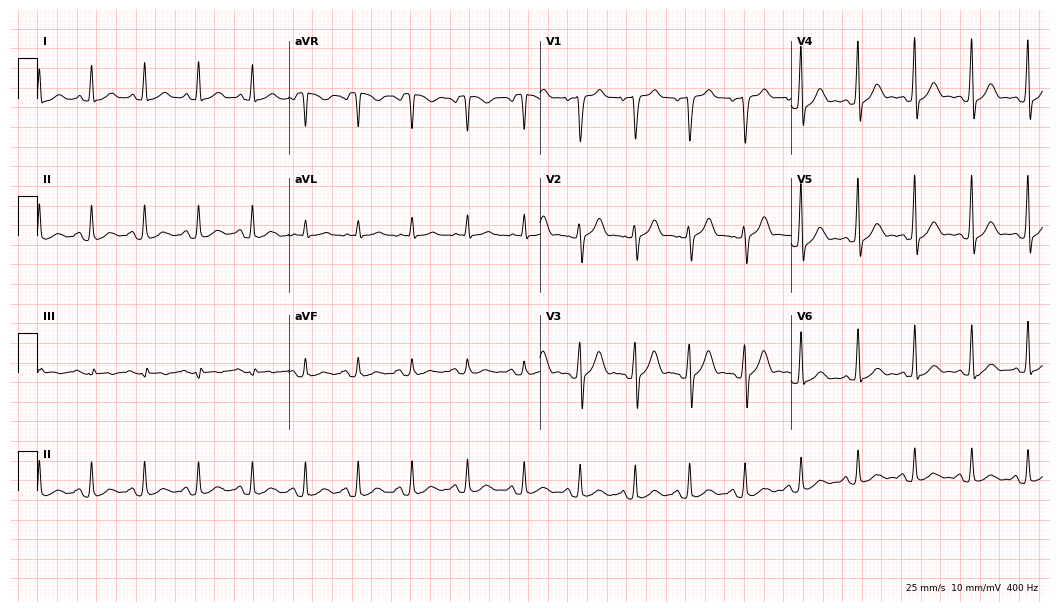
ECG — a 23-year-old male. Findings include sinus tachycardia (a sinus rate of 100 beats per minute or more).